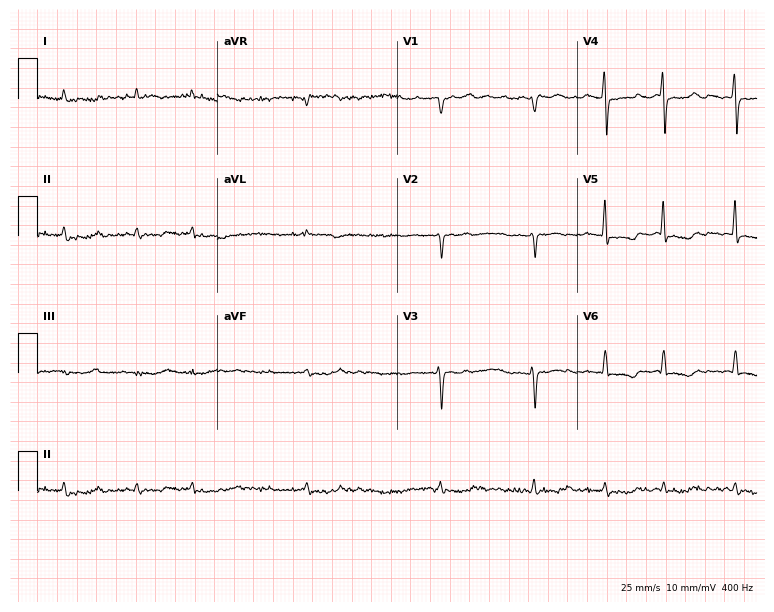
Resting 12-lead electrocardiogram (7.3-second recording at 400 Hz). Patient: a male, 76 years old. The tracing shows atrial fibrillation (AF).